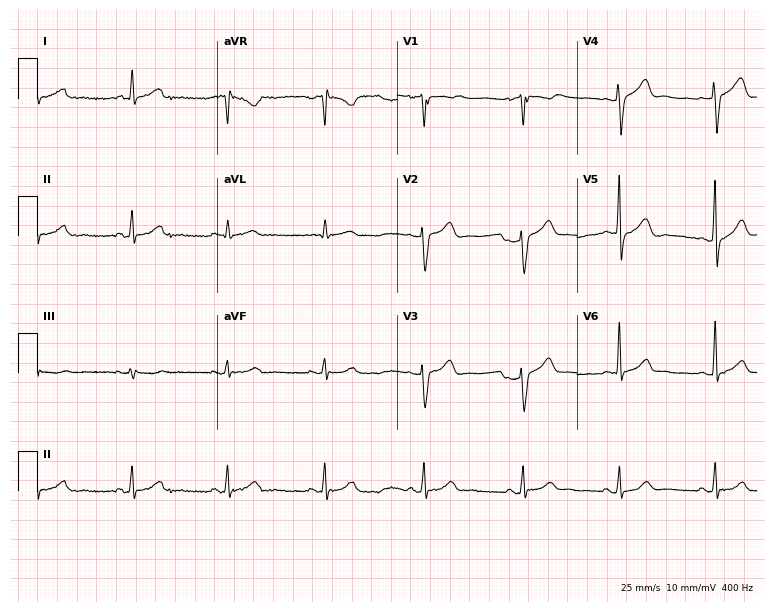
Electrocardiogram, a 55-year-old male. Of the six screened findings (first-degree AV block, right bundle branch block (RBBB), left bundle branch block (LBBB), sinus bradycardia, atrial fibrillation (AF), sinus tachycardia), none is recorded. Findings outside these six are not listed.